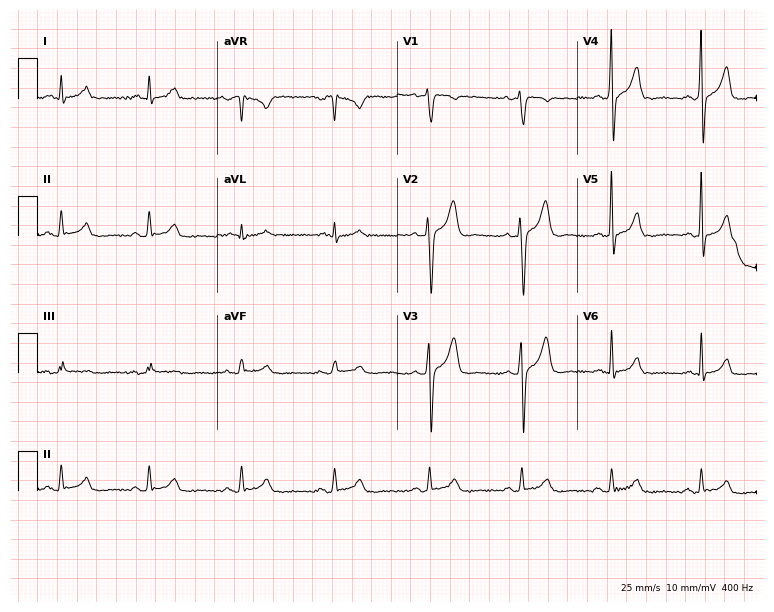
Standard 12-lead ECG recorded from a male patient, 34 years old (7.3-second recording at 400 Hz). None of these six findings is recorded: first-degree AV block, right bundle branch block, left bundle branch block, sinus bradycardia, atrial fibrillation, sinus tachycardia.